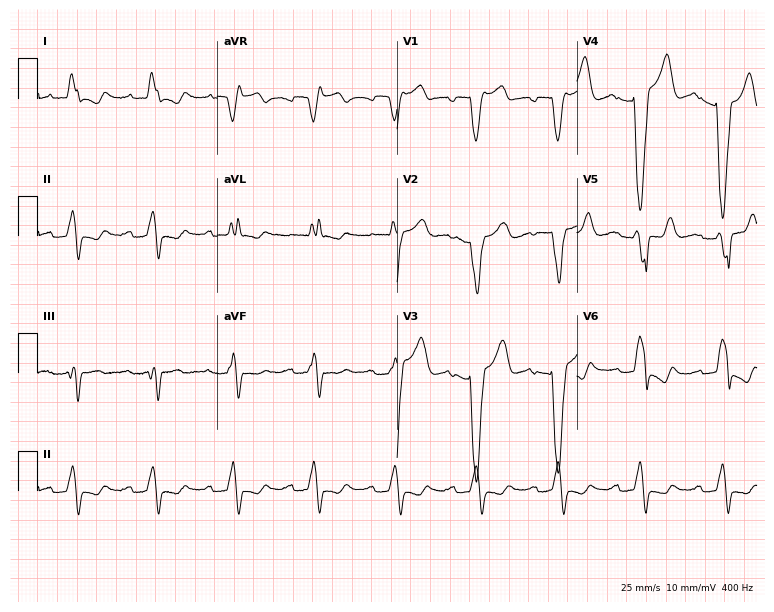
12-lead ECG (7.3-second recording at 400 Hz) from a woman, 81 years old. Findings include first-degree AV block, left bundle branch block.